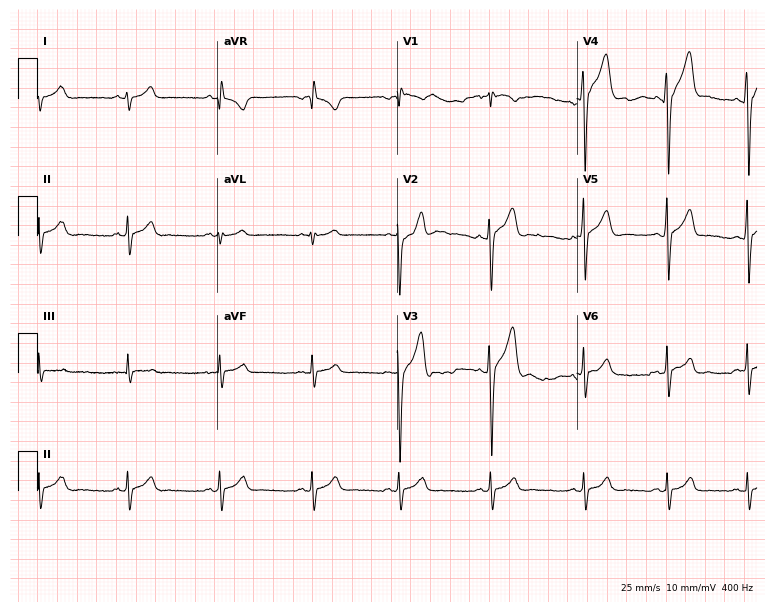
Standard 12-lead ECG recorded from a 22-year-old man (7.3-second recording at 400 Hz). None of these six findings is recorded: first-degree AV block, right bundle branch block, left bundle branch block, sinus bradycardia, atrial fibrillation, sinus tachycardia.